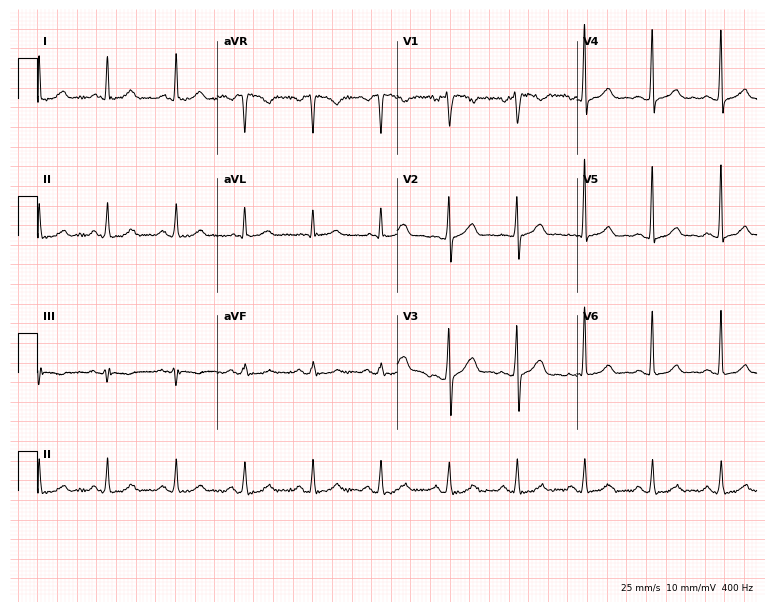
Electrocardiogram, a male patient, 49 years old. Overall reading on record: normal ECG.